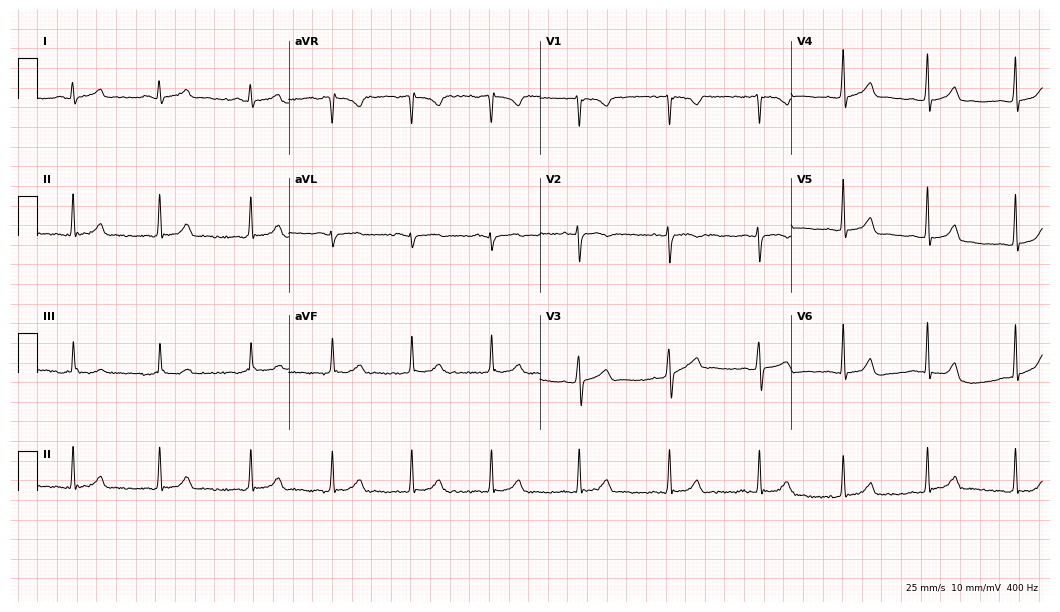
12-lead ECG from a 19-year-old female. Recorded interpretation: within normal limits.